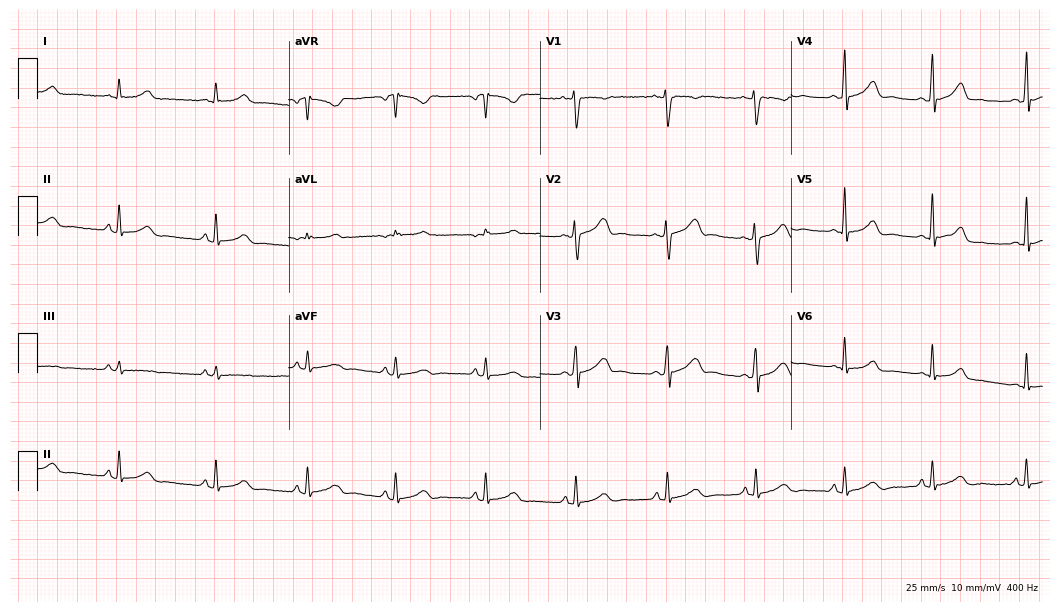
Standard 12-lead ECG recorded from a female, 32 years old. Read as a normal ECG.